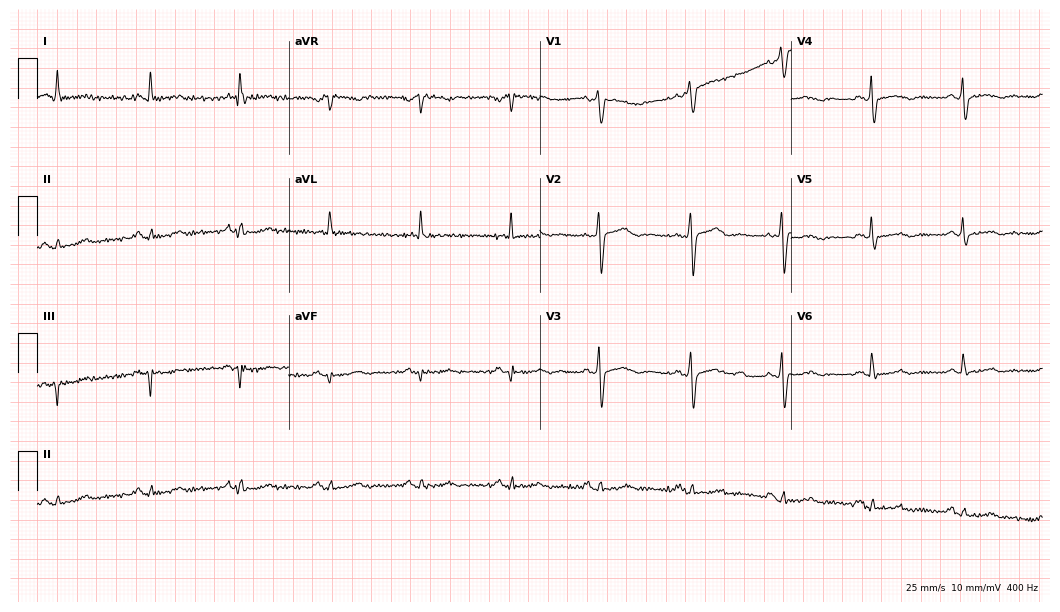
Electrocardiogram (10.2-second recording at 400 Hz), a female patient, 44 years old. Of the six screened findings (first-degree AV block, right bundle branch block (RBBB), left bundle branch block (LBBB), sinus bradycardia, atrial fibrillation (AF), sinus tachycardia), none is recorded. Findings outside these six are not listed.